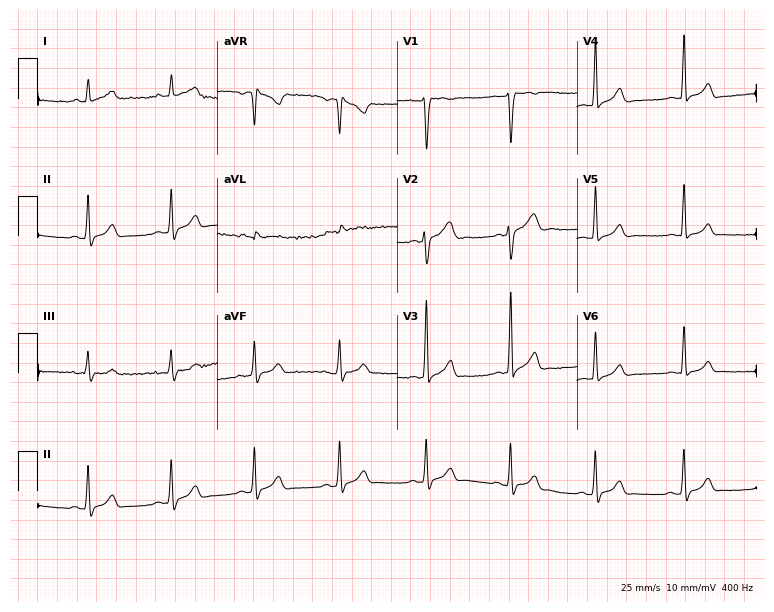
12-lead ECG from a 20-year-old male. No first-degree AV block, right bundle branch block (RBBB), left bundle branch block (LBBB), sinus bradycardia, atrial fibrillation (AF) or sinus tachycardia recorded for this tracing. Only these six findings were labelled.